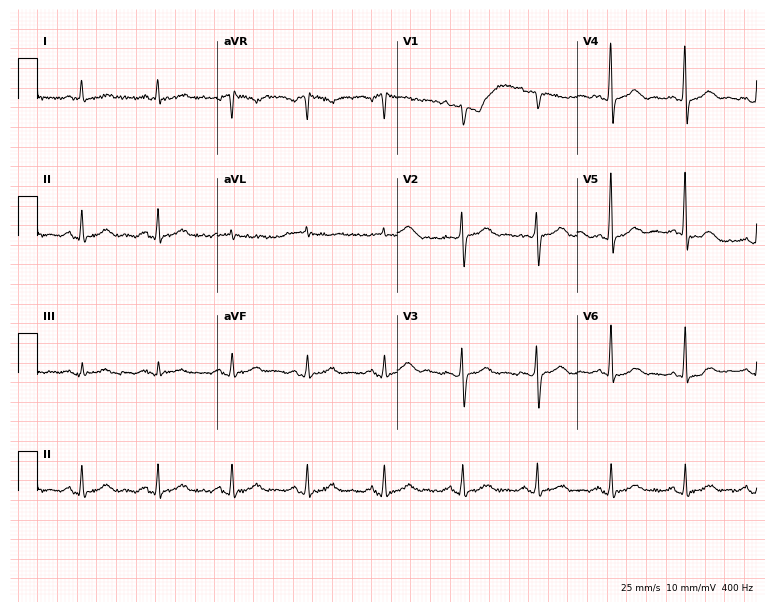
Resting 12-lead electrocardiogram. Patient: a 69-year-old female. None of these six findings is recorded: first-degree AV block, right bundle branch block, left bundle branch block, sinus bradycardia, atrial fibrillation, sinus tachycardia.